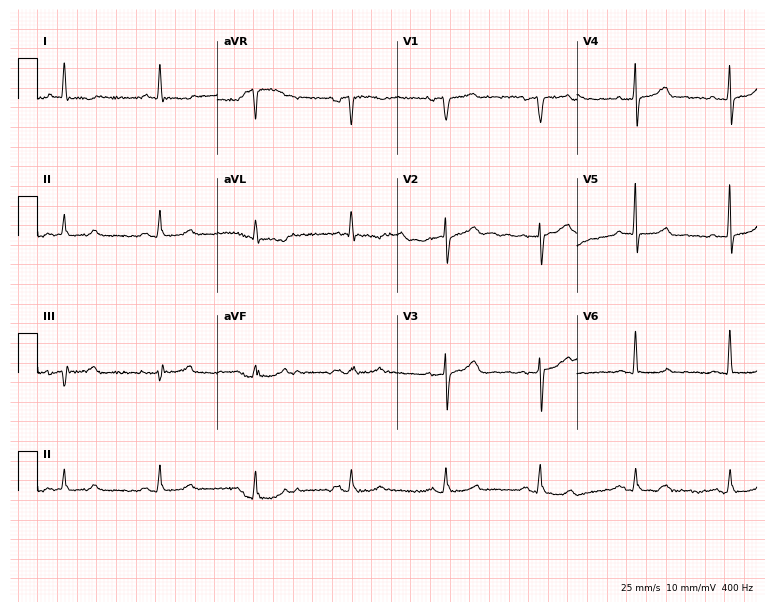
Electrocardiogram, a male, 59 years old. Of the six screened findings (first-degree AV block, right bundle branch block (RBBB), left bundle branch block (LBBB), sinus bradycardia, atrial fibrillation (AF), sinus tachycardia), none is recorded.